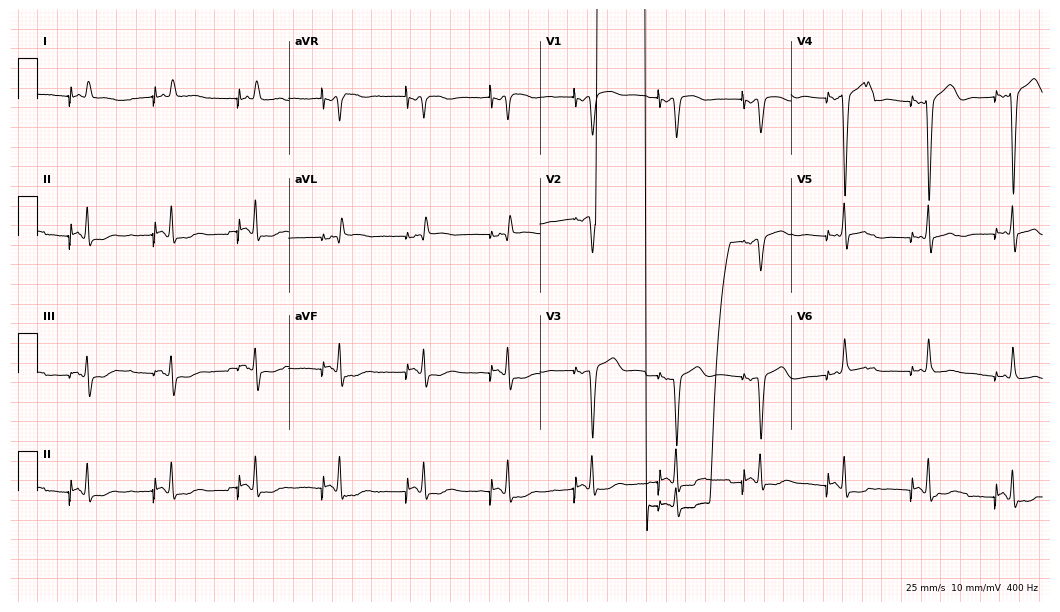
12-lead ECG from a 71-year-old male patient (10.2-second recording at 400 Hz). No first-degree AV block, right bundle branch block (RBBB), left bundle branch block (LBBB), sinus bradycardia, atrial fibrillation (AF) or sinus tachycardia recorded for this tracing.